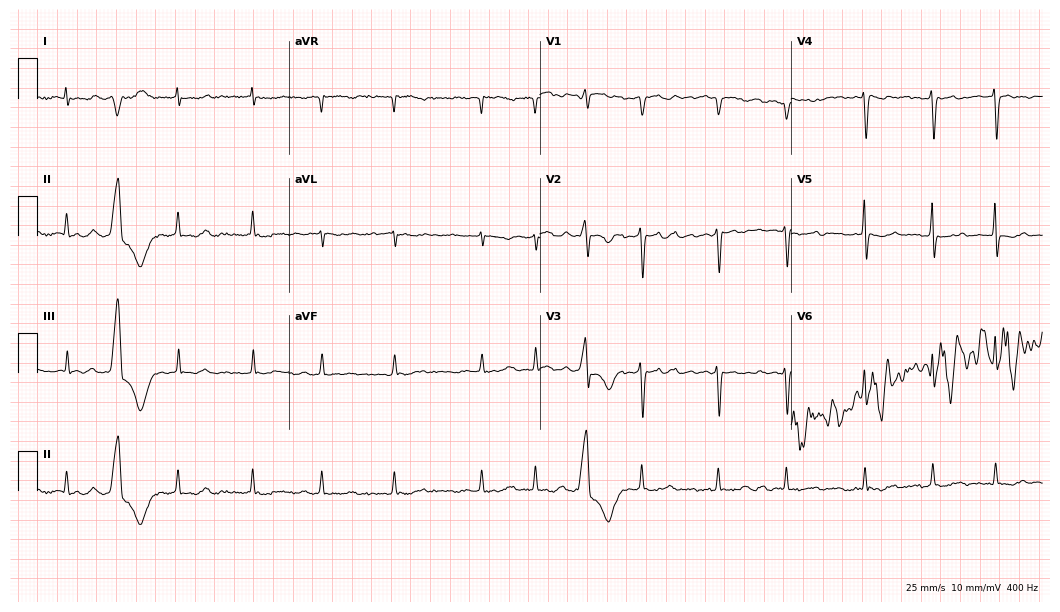
Resting 12-lead electrocardiogram. Patient: an 81-year-old woman. None of these six findings is recorded: first-degree AV block, right bundle branch block (RBBB), left bundle branch block (LBBB), sinus bradycardia, atrial fibrillation (AF), sinus tachycardia. Findings outside these six are not listed.